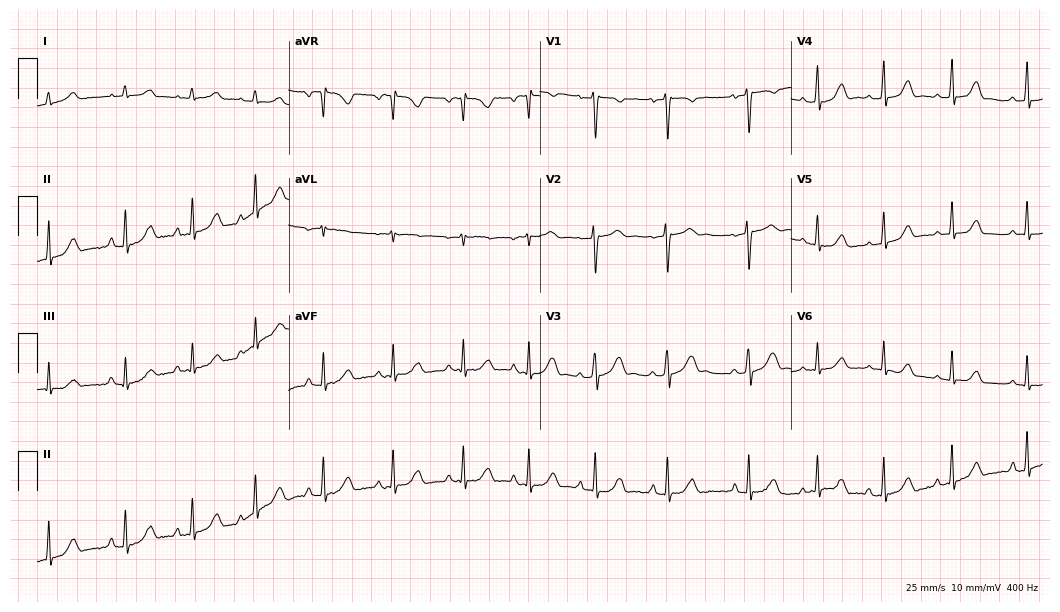
12-lead ECG from a female patient, 22 years old. Recorded interpretation: within normal limits.